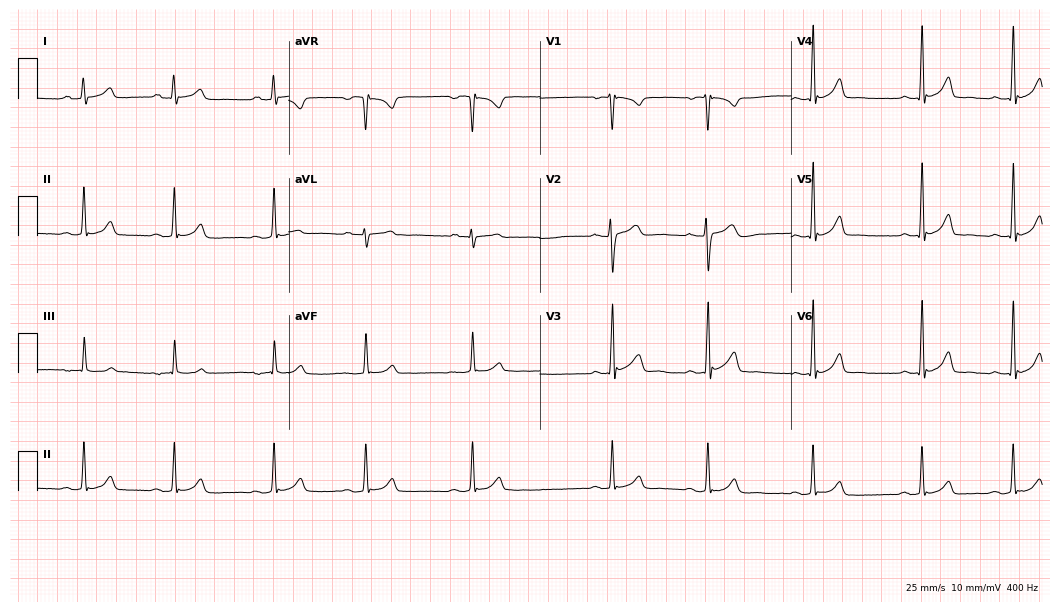
12-lead ECG (10.2-second recording at 400 Hz) from a male, 19 years old. Labelled as a normal ECG.